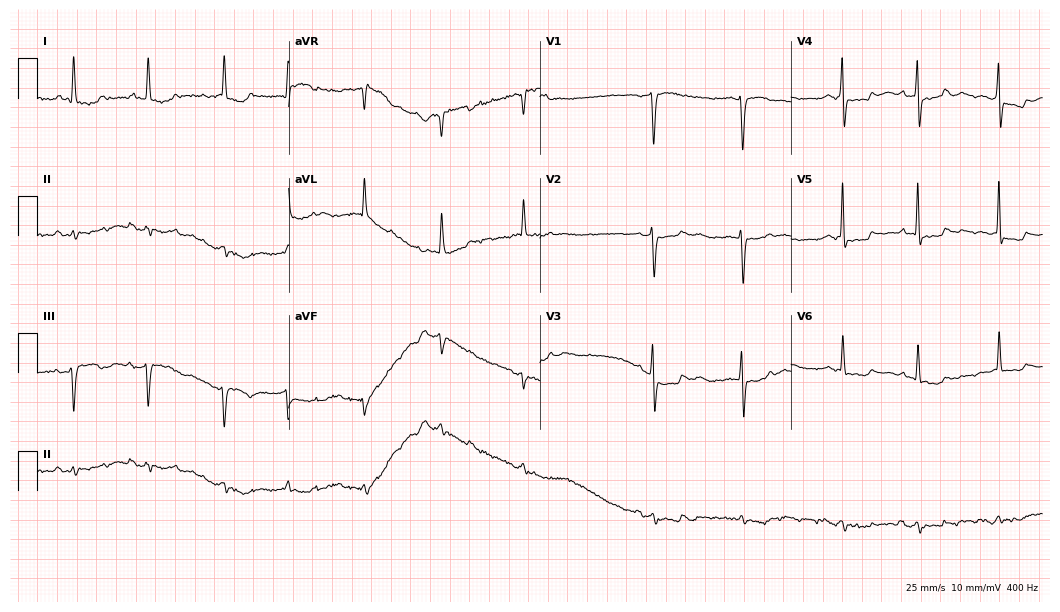
ECG (10.2-second recording at 400 Hz) — an 84-year-old woman. Screened for six findings — first-degree AV block, right bundle branch block (RBBB), left bundle branch block (LBBB), sinus bradycardia, atrial fibrillation (AF), sinus tachycardia — none is recorded. Findings outside these six are not listed.